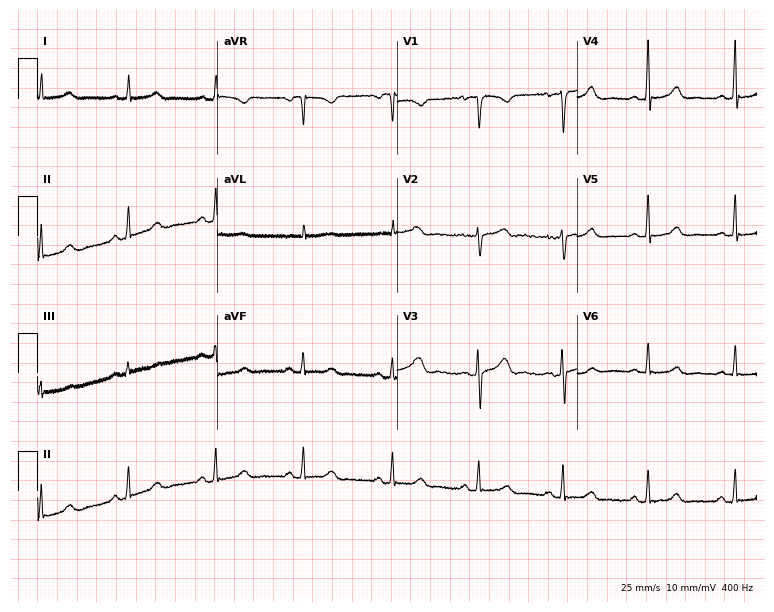
12-lead ECG from a female patient, 25 years old. Screened for six findings — first-degree AV block, right bundle branch block, left bundle branch block, sinus bradycardia, atrial fibrillation, sinus tachycardia — none is recorded.